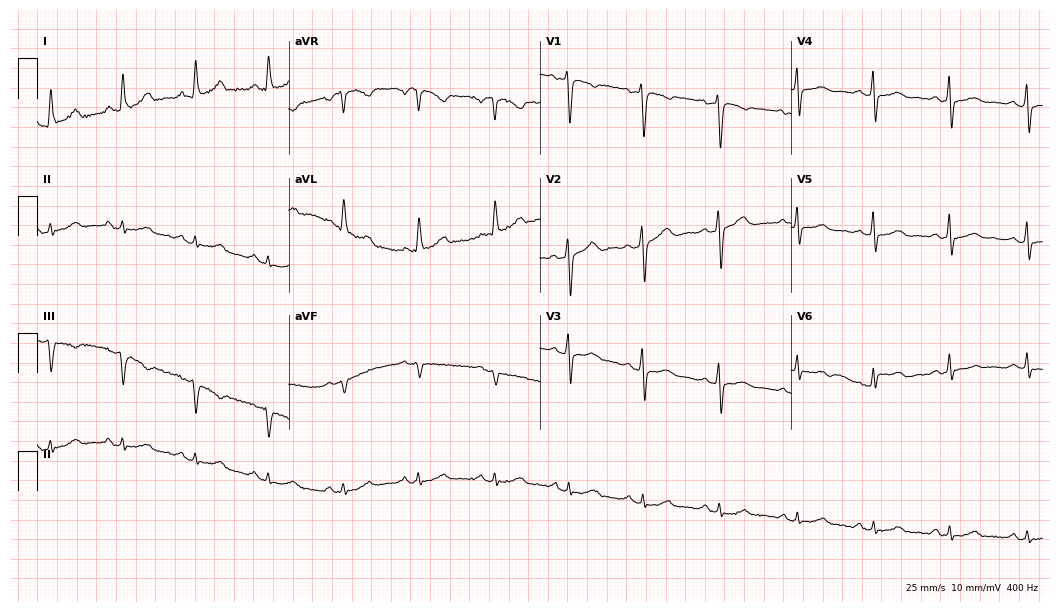
ECG — a woman, 66 years old. Labelled as a normal ECG.